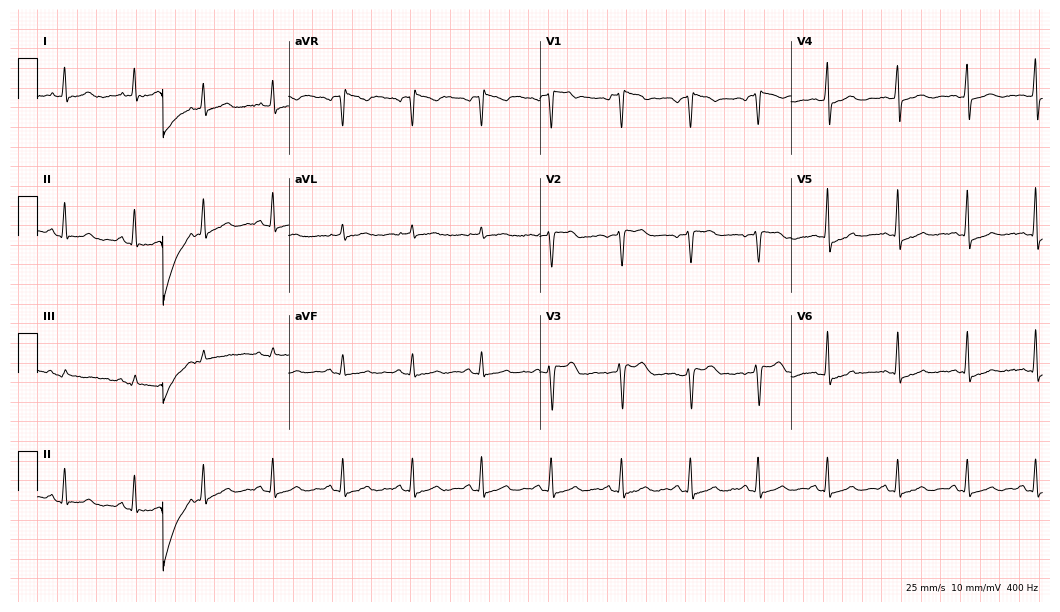
Standard 12-lead ECG recorded from a female patient, 63 years old (10.2-second recording at 400 Hz). None of these six findings is recorded: first-degree AV block, right bundle branch block (RBBB), left bundle branch block (LBBB), sinus bradycardia, atrial fibrillation (AF), sinus tachycardia. Findings outside these six are not listed.